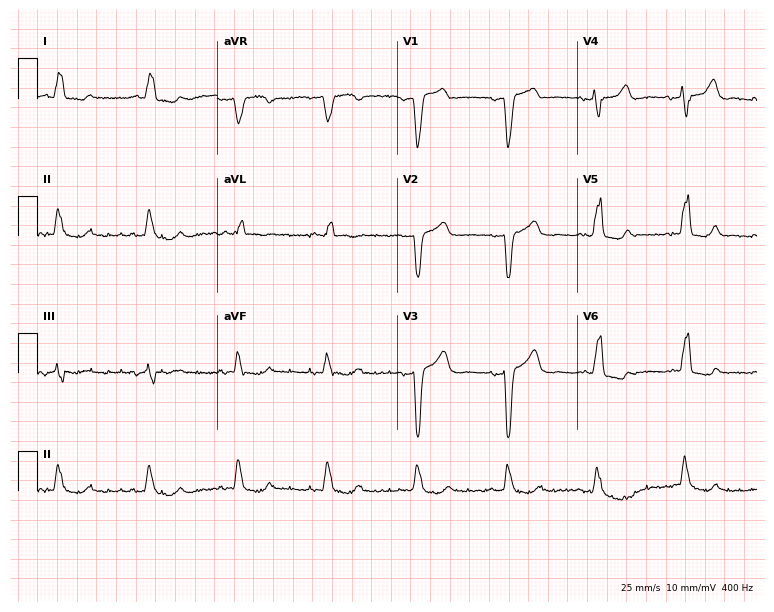
ECG (7.3-second recording at 400 Hz) — an 84-year-old male patient. Findings include left bundle branch block (LBBB).